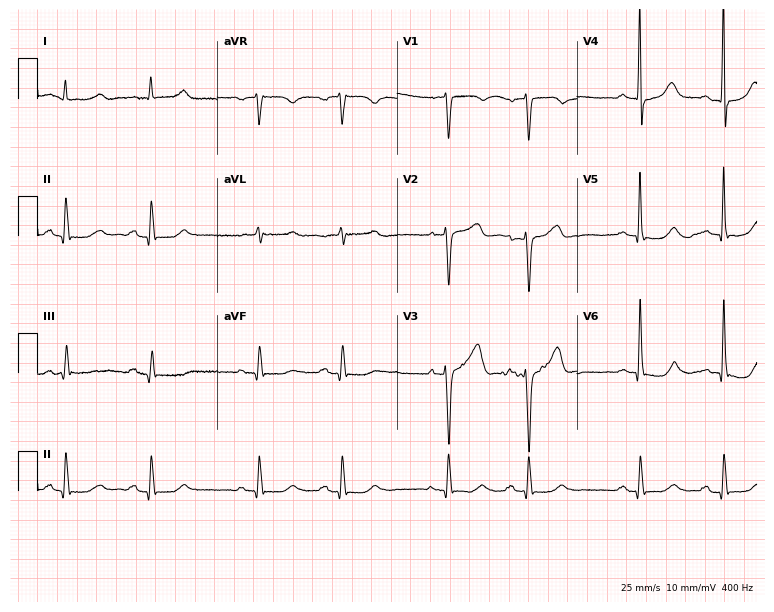
12-lead ECG from an 84-year-old male patient (7.3-second recording at 400 Hz). No first-degree AV block, right bundle branch block, left bundle branch block, sinus bradycardia, atrial fibrillation or sinus tachycardia recorded for this tracing.